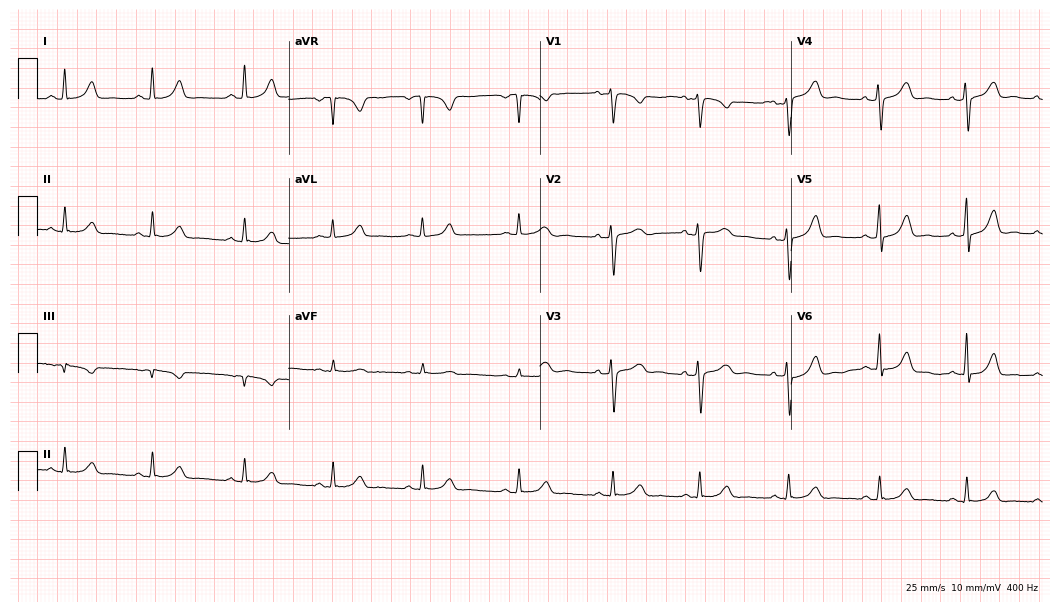
Electrocardiogram, a 78-year-old female patient. Overall reading on record: normal ECG.